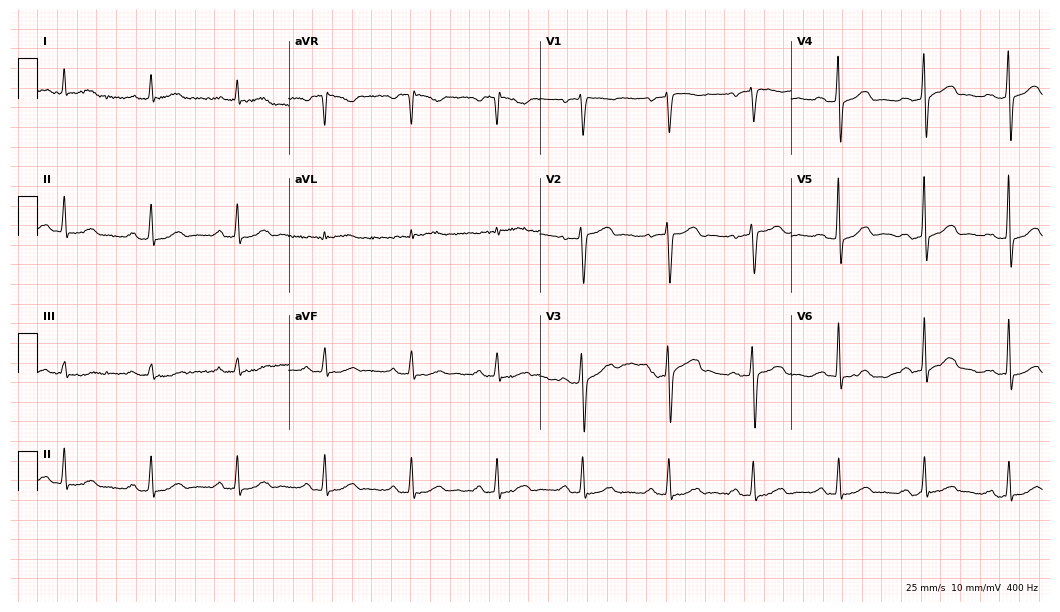
Resting 12-lead electrocardiogram. Patient: a female, 71 years old. Read as a normal ECG.